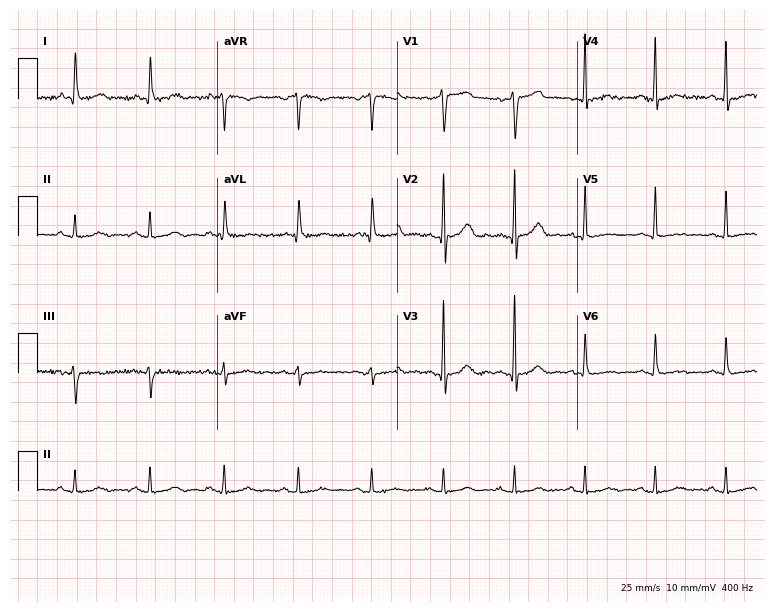
12-lead ECG from a male patient, 71 years old (7.3-second recording at 400 Hz). No first-degree AV block, right bundle branch block, left bundle branch block, sinus bradycardia, atrial fibrillation or sinus tachycardia recorded for this tracing. Only these six findings were labelled.